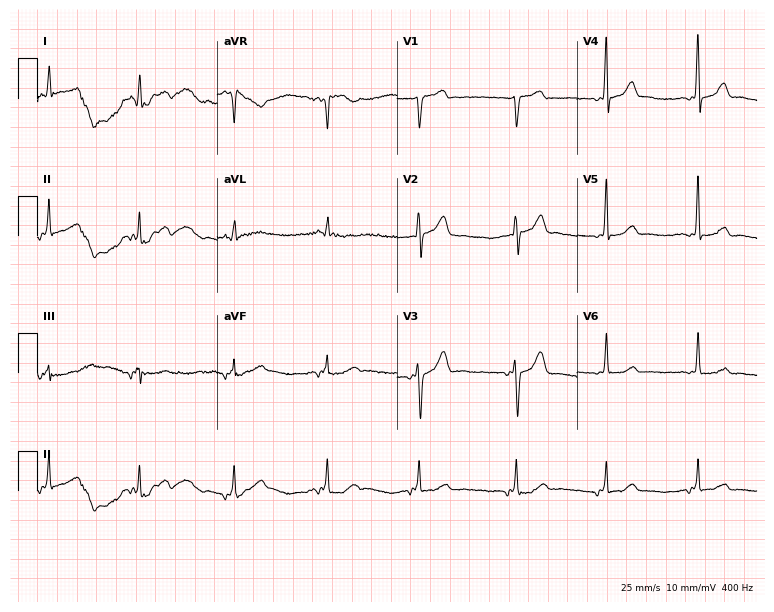
12-lead ECG (7.3-second recording at 400 Hz) from a 75-year-old male. Screened for six findings — first-degree AV block, right bundle branch block, left bundle branch block, sinus bradycardia, atrial fibrillation, sinus tachycardia — none is recorded.